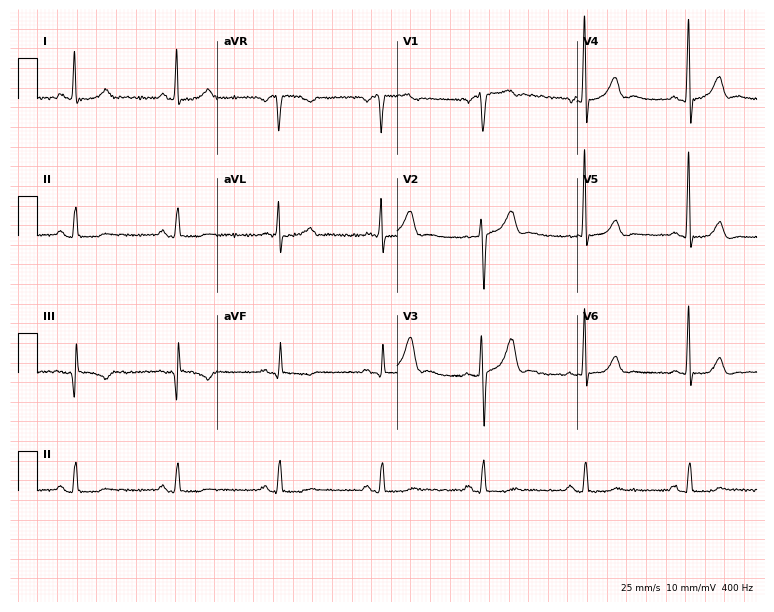
Electrocardiogram (7.3-second recording at 400 Hz), a 61-year-old male. Of the six screened findings (first-degree AV block, right bundle branch block, left bundle branch block, sinus bradycardia, atrial fibrillation, sinus tachycardia), none is recorded. Other findings, if any, are not listed.